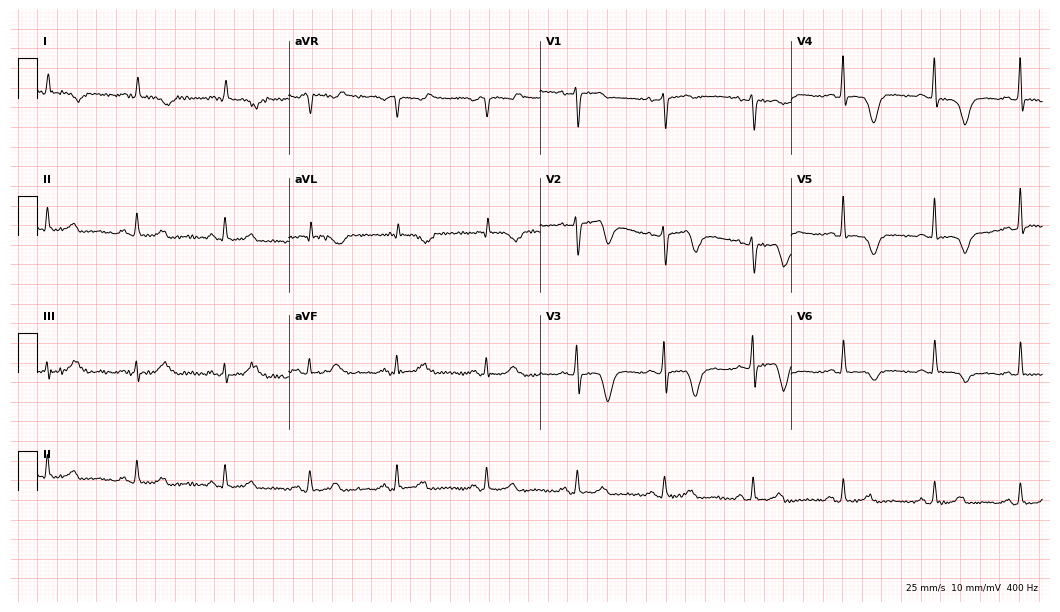
12-lead ECG from a 77-year-old female. Screened for six findings — first-degree AV block, right bundle branch block (RBBB), left bundle branch block (LBBB), sinus bradycardia, atrial fibrillation (AF), sinus tachycardia — none is recorded. Only these six findings were labelled.